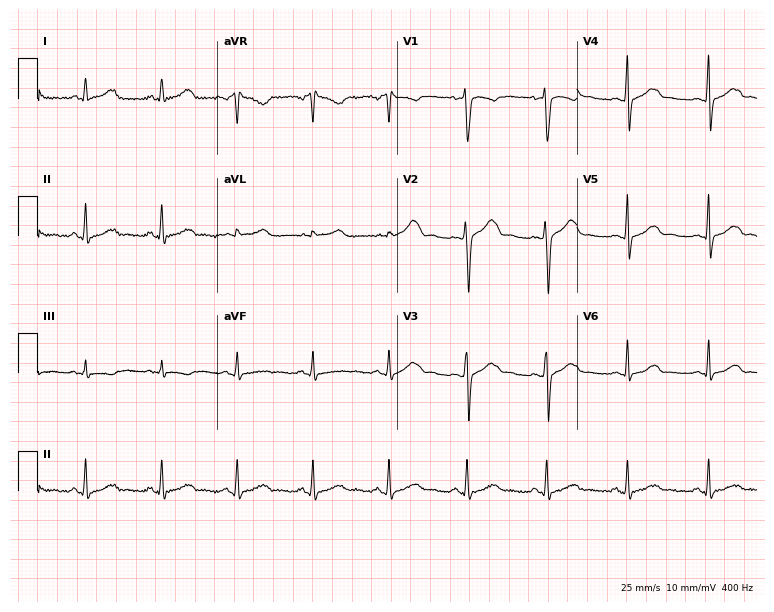
Electrocardiogram, a 35-year-old female. Overall reading on record: normal ECG.